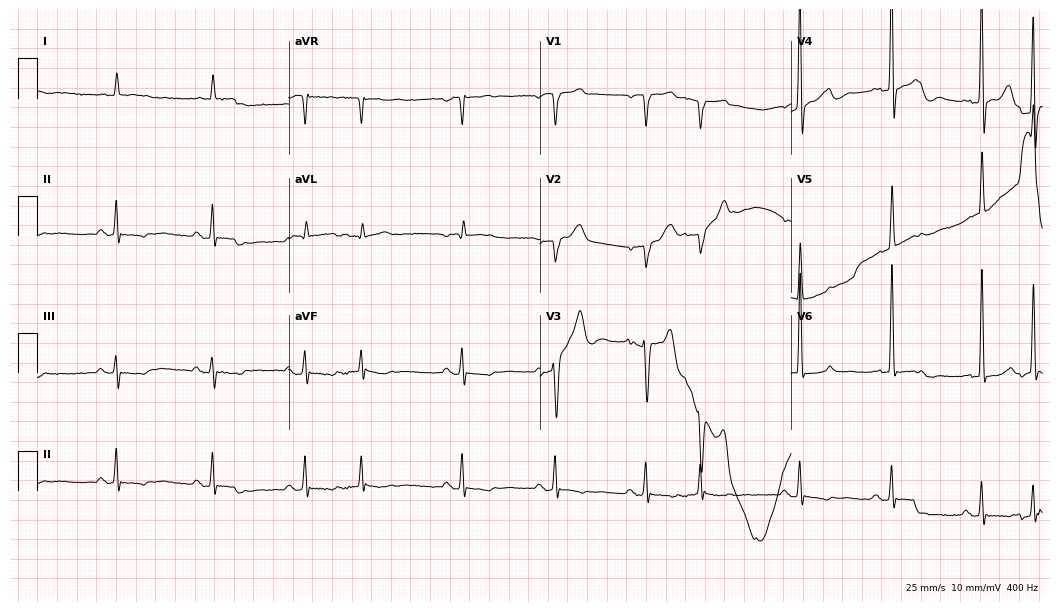
12-lead ECG from an 84-year-old male patient. No first-degree AV block, right bundle branch block (RBBB), left bundle branch block (LBBB), sinus bradycardia, atrial fibrillation (AF) or sinus tachycardia recorded for this tracing. Findings outside these six are not listed.